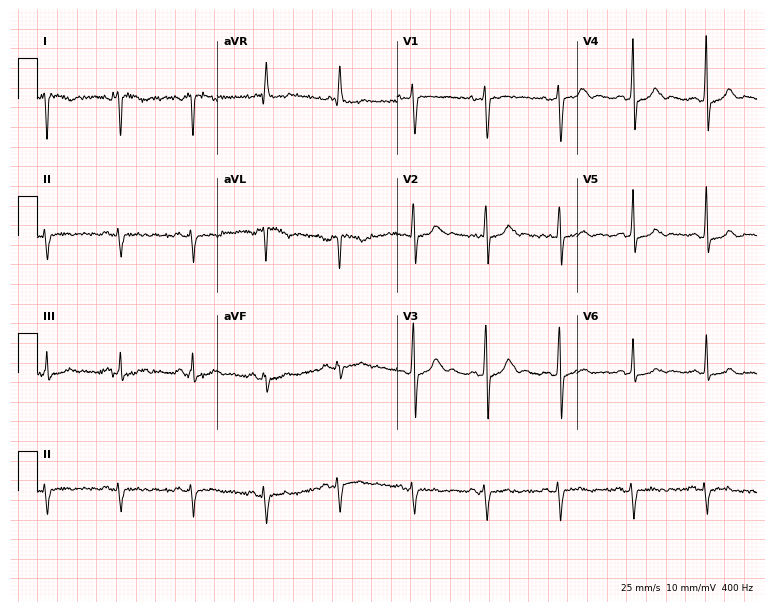
Electrocardiogram, a woman, 36 years old. Of the six screened findings (first-degree AV block, right bundle branch block (RBBB), left bundle branch block (LBBB), sinus bradycardia, atrial fibrillation (AF), sinus tachycardia), none is recorded.